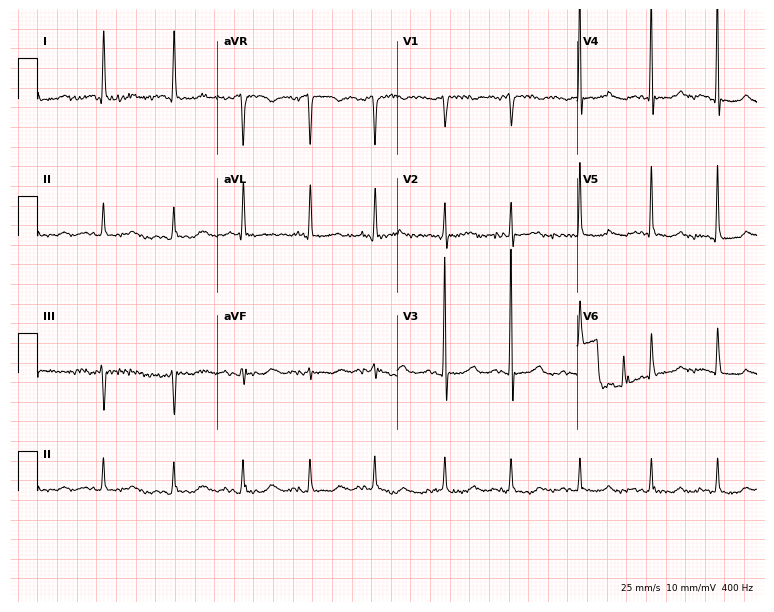
Electrocardiogram (7.3-second recording at 400 Hz), a female, 74 years old. Of the six screened findings (first-degree AV block, right bundle branch block (RBBB), left bundle branch block (LBBB), sinus bradycardia, atrial fibrillation (AF), sinus tachycardia), none is recorded.